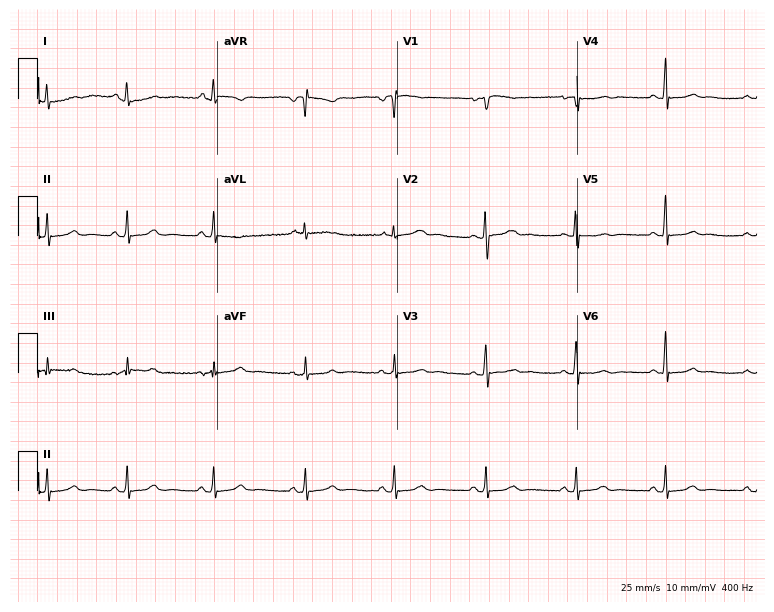
12-lead ECG from a female, 43 years old. Labelled as a normal ECG.